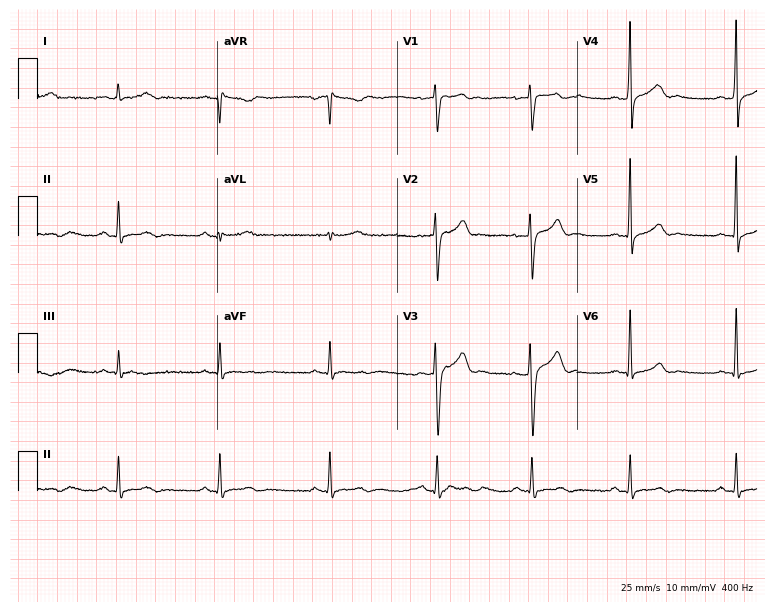
12-lead ECG from a man, 31 years old (7.3-second recording at 400 Hz). Recorded interpretation: within normal limits.